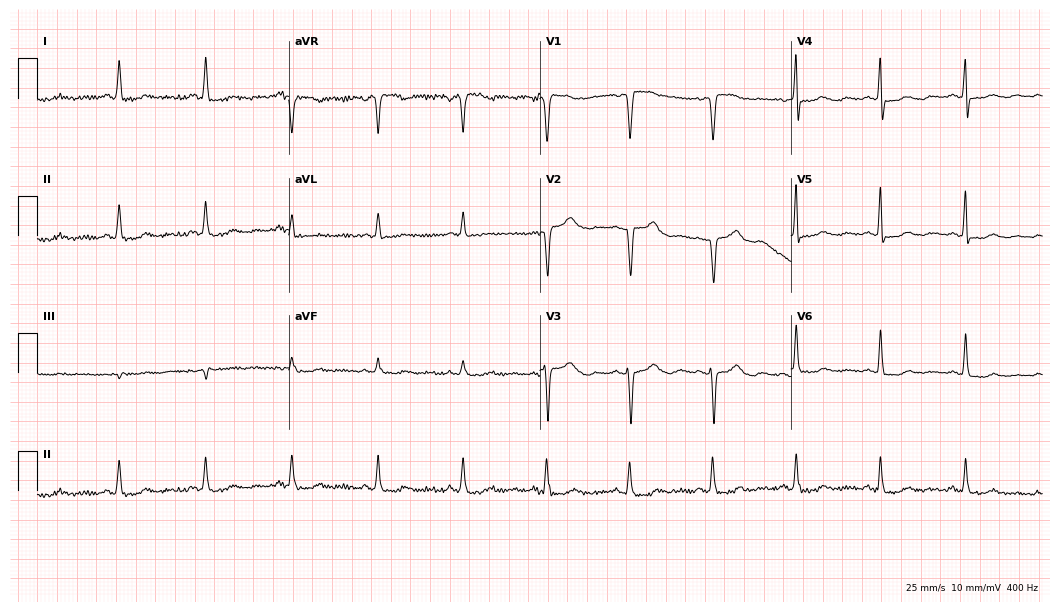
Electrocardiogram (10.2-second recording at 400 Hz), a 78-year-old woman. Of the six screened findings (first-degree AV block, right bundle branch block, left bundle branch block, sinus bradycardia, atrial fibrillation, sinus tachycardia), none is recorded. Findings outside these six are not listed.